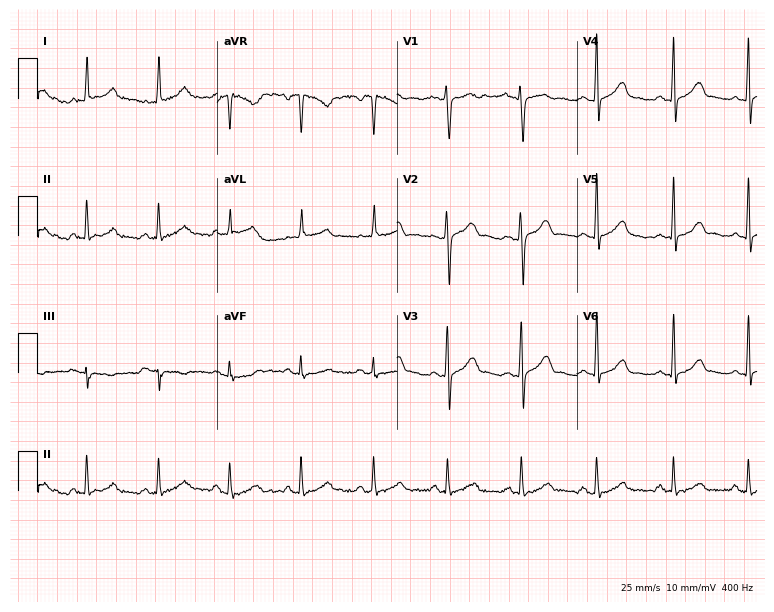
12-lead ECG (7.3-second recording at 400 Hz) from a 37-year-old female patient. Labelled as a normal ECG.